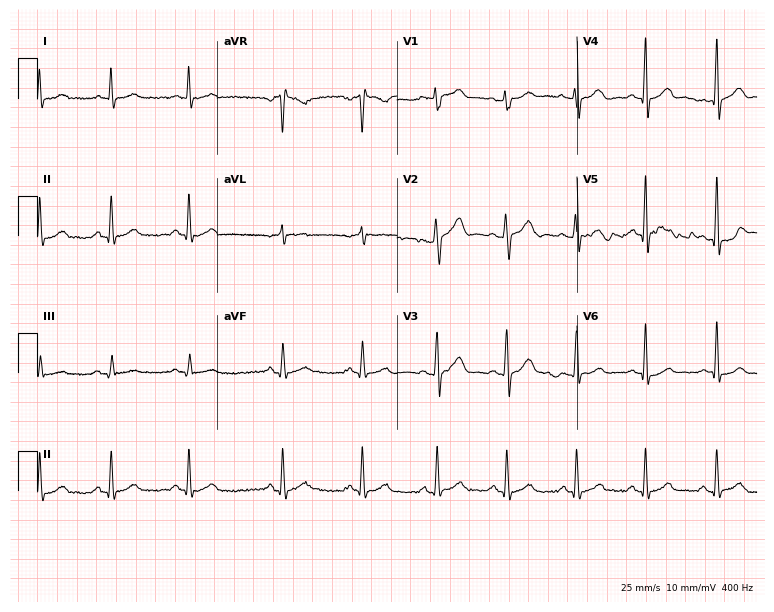
Resting 12-lead electrocardiogram. Patient: a 30-year-old man. Read as a normal ECG.